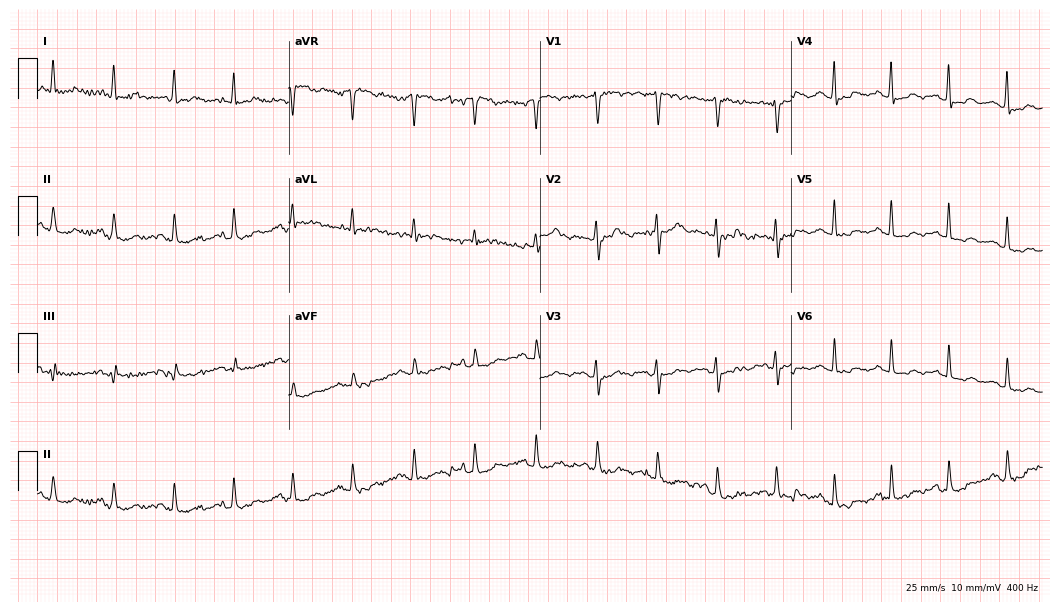
12-lead ECG from a female patient, 63 years old. Recorded interpretation: within normal limits.